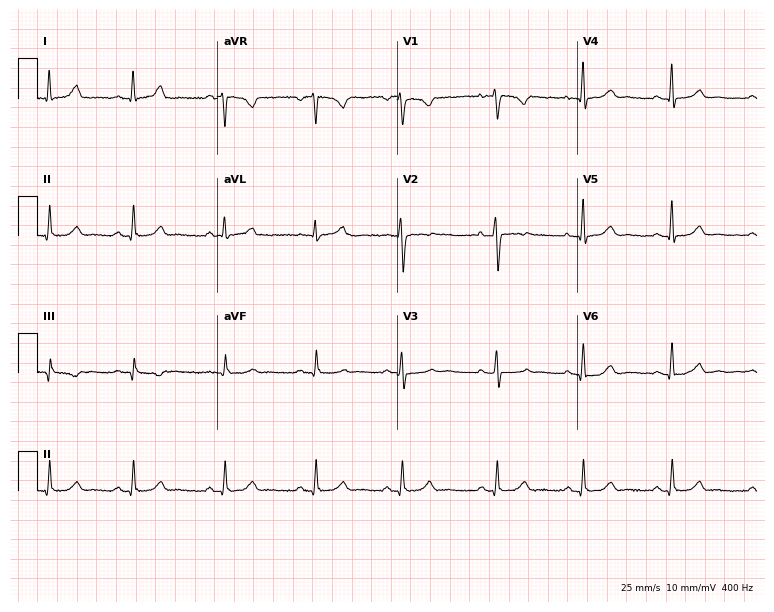
Standard 12-lead ECG recorded from a female, 32 years old. Read as a normal ECG.